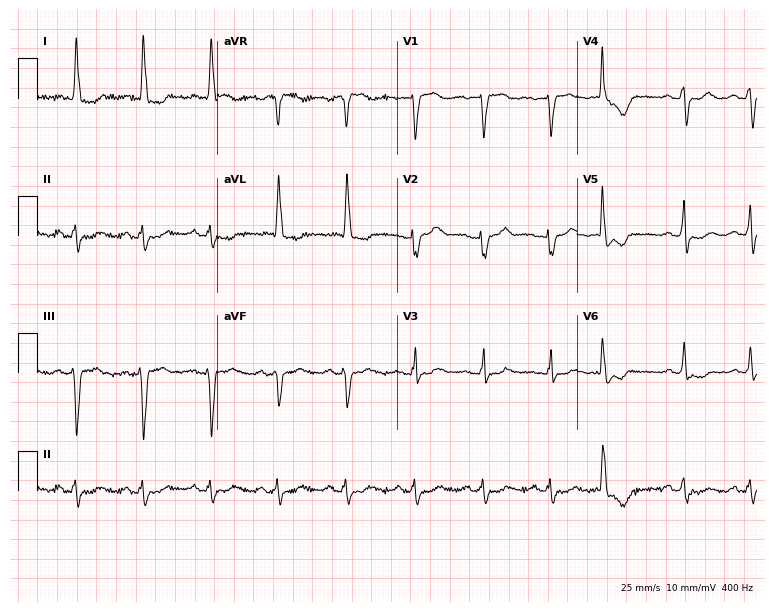
Electrocardiogram (7.3-second recording at 400 Hz), a woman, 68 years old. Of the six screened findings (first-degree AV block, right bundle branch block, left bundle branch block, sinus bradycardia, atrial fibrillation, sinus tachycardia), none is recorded. Only these six findings were labelled.